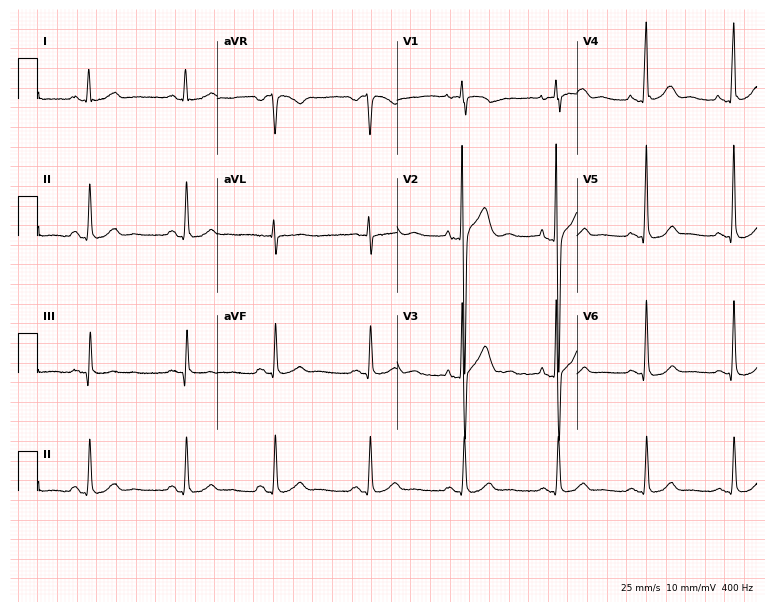
Electrocardiogram (7.3-second recording at 400 Hz), a 31-year-old male patient. Of the six screened findings (first-degree AV block, right bundle branch block (RBBB), left bundle branch block (LBBB), sinus bradycardia, atrial fibrillation (AF), sinus tachycardia), none is recorded. Findings outside these six are not listed.